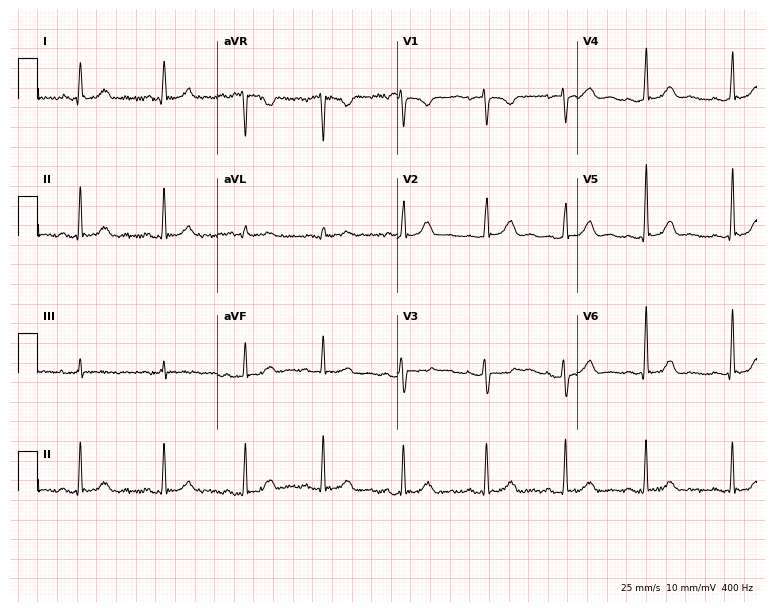
Resting 12-lead electrocardiogram. Patient: a female, 20 years old. Read as a normal ECG.